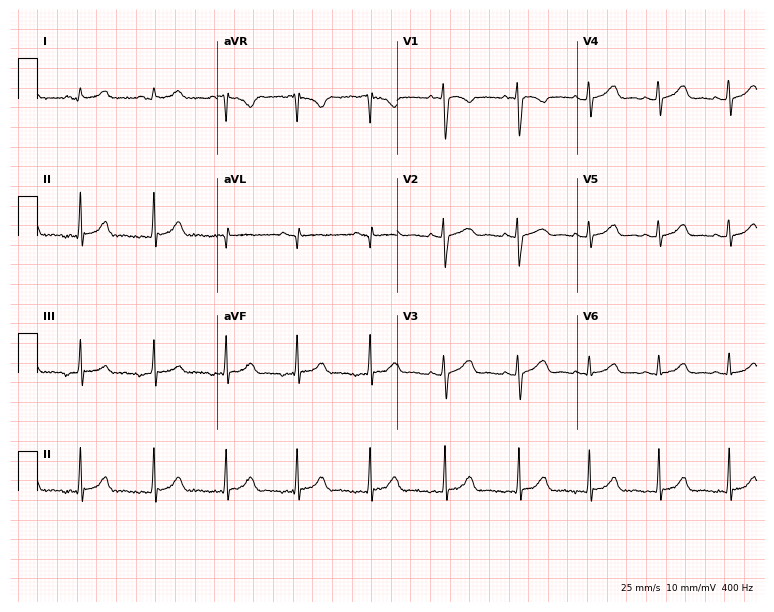
ECG — a woman, 18 years old. Screened for six findings — first-degree AV block, right bundle branch block, left bundle branch block, sinus bradycardia, atrial fibrillation, sinus tachycardia — none is recorded. Findings outside these six are not listed.